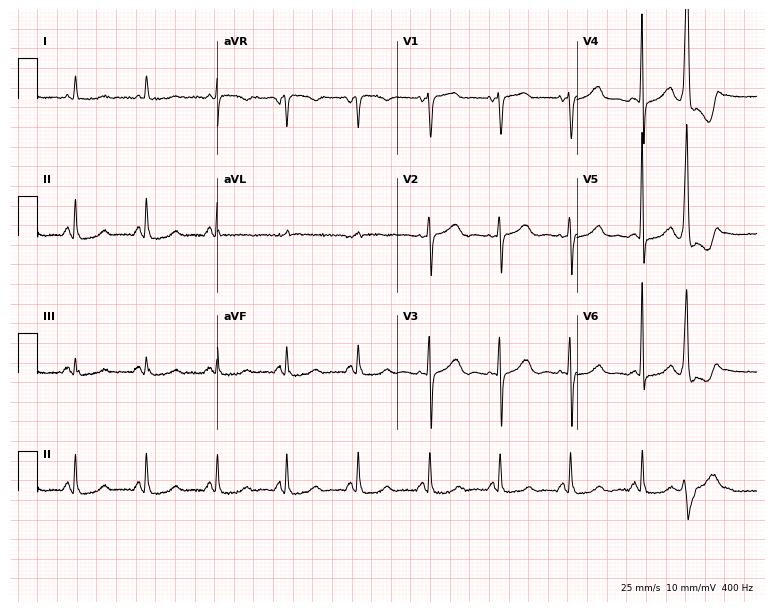
Standard 12-lead ECG recorded from a female, 80 years old. None of these six findings is recorded: first-degree AV block, right bundle branch block, left bundle branch block, sinus bradycardia, atrial fibrillation, sinus tachycardia. Other findings, if any, are not listed.